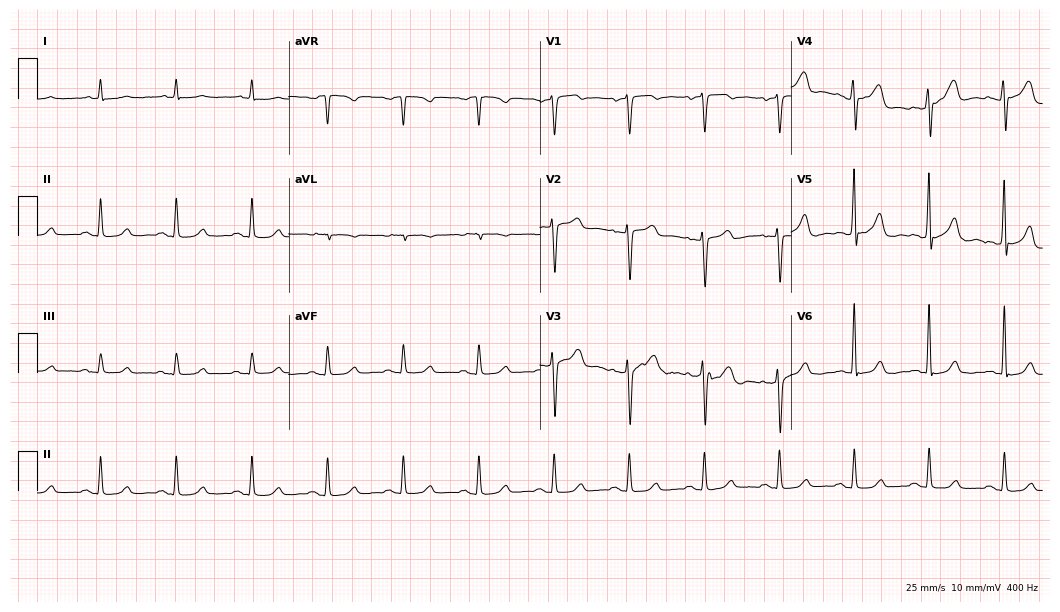
12-lead ECG from a 65-year-old man. Labelled as a normal ECG.